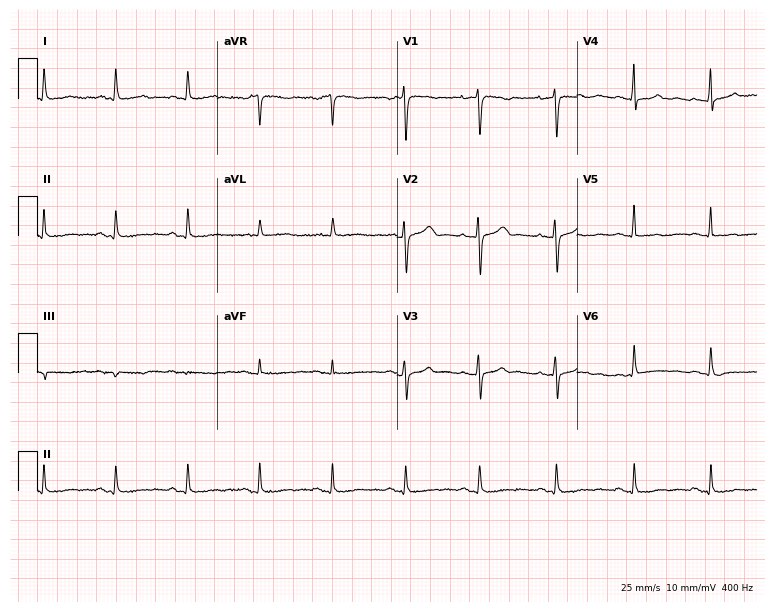
Resting 12-lead electrocardiogram (7.3-second recording at 400 Hz). Patient: a female, 70 years old. None of these six findings is recorded: first-degree AV block, right bundle branch block, left bundle branch block, sinus bradycardia, atrial fibrillation, sinus tachycardia.